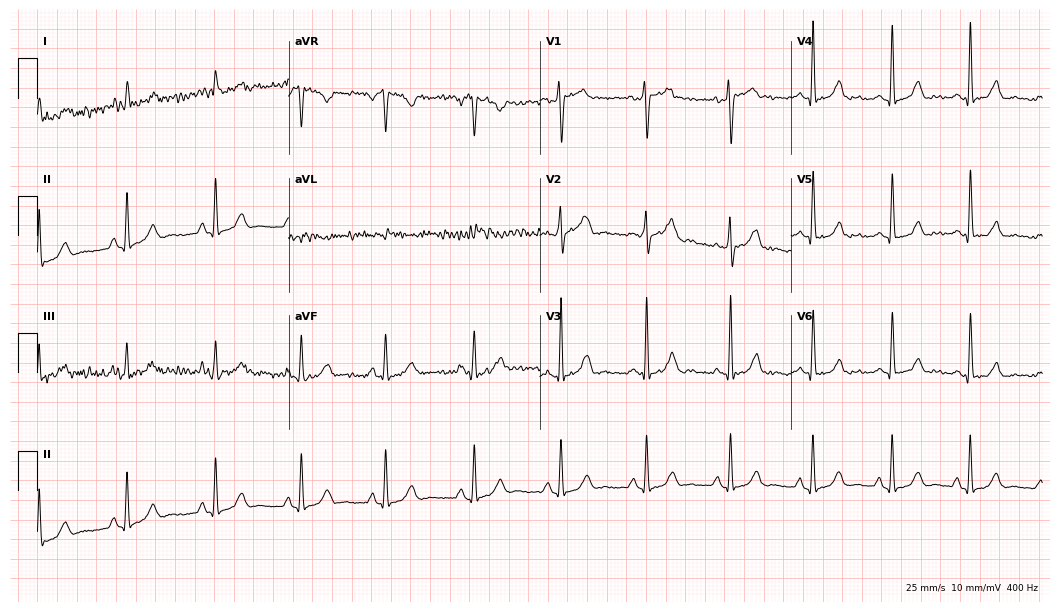
12-lead ECG from a male patient, 52 years old (10.2-second recording at 400 Hz). Recorded interpretation: within normal limits.